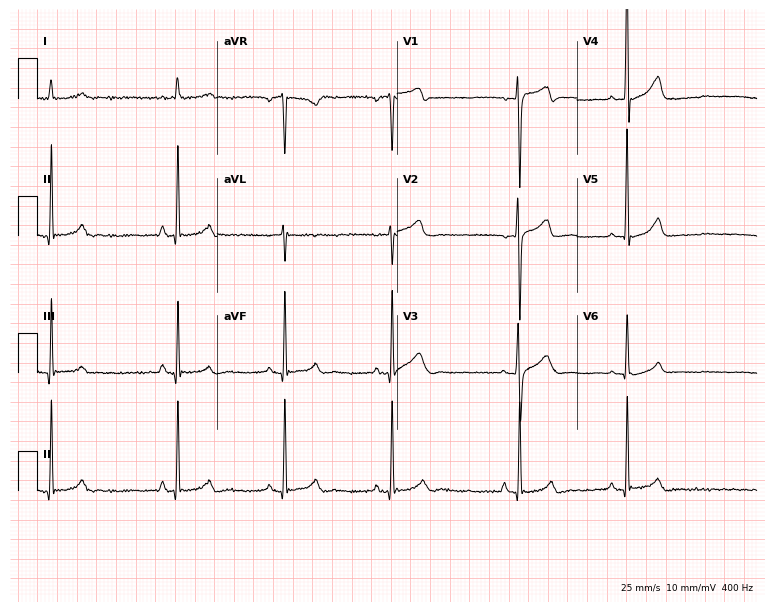
12-lead ECG (7.3-second recording at 400 Hz) from a 27-year-old male patient. Screened for six findings — first-degree AV block, right bundle branch block (RBBB), left bundle branch block (LBBB), sinus bradycardia, atrial fibrillation (AF), sinus tachycardia — none is recorded. Findings outside these six are not listed.